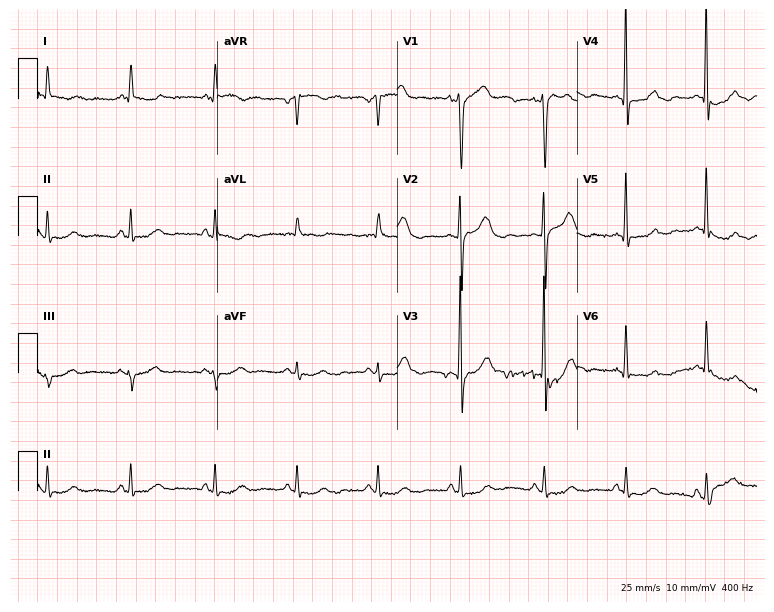
ECG — a female, 61 years old. Screened for six findings — first-degree AV block, right bundle branch block, left bundle branch block, sinus bradycardia, atrial fibrillation, sinus tachycardia — none is recorded. Findings outside these six are not listed.